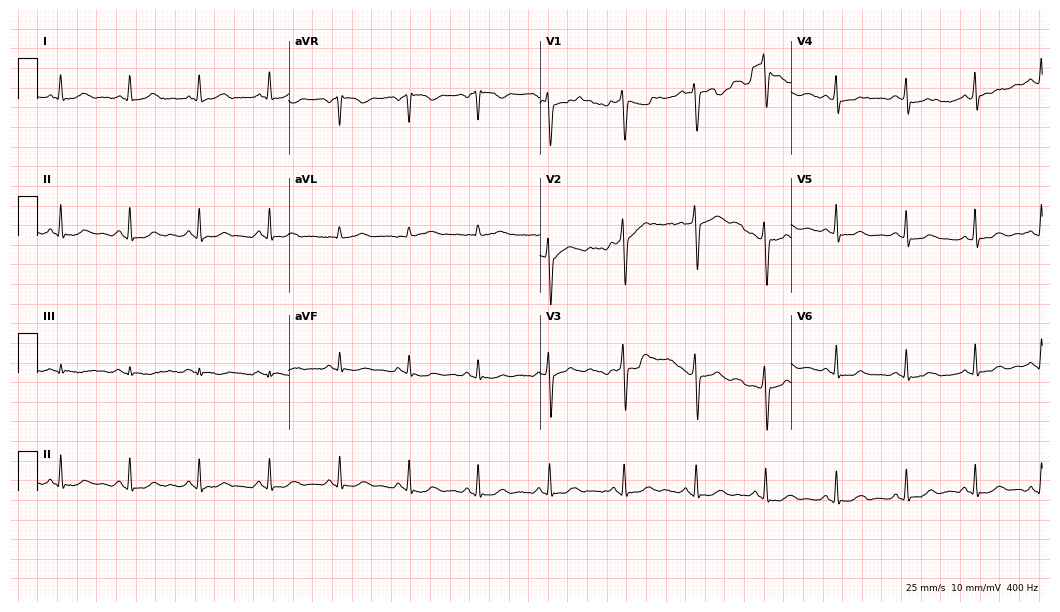
Resting 12-lead electrocardiogram (10.2-second recording at 400 Hz). Patient: a female, 33 years old. Read as a normal ECG.